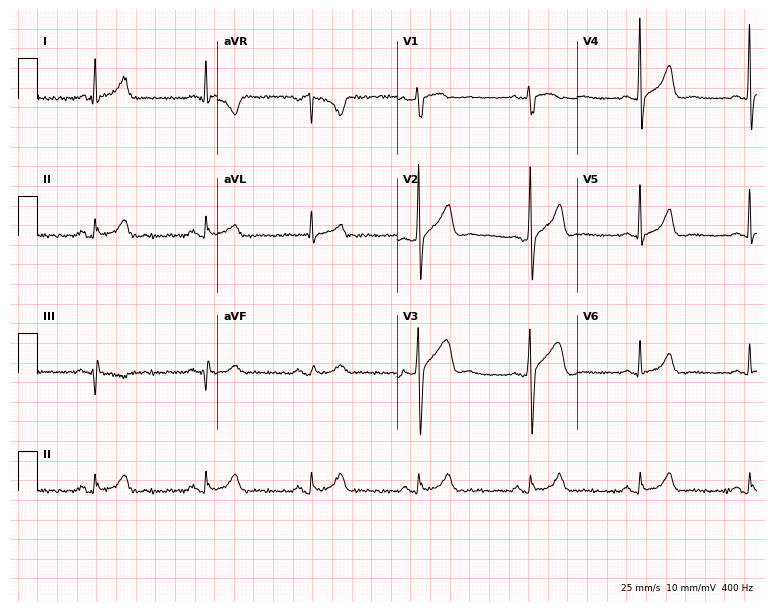
12-lead ECG from a man, 40 years old. Recorded interpretation: within normal limits.